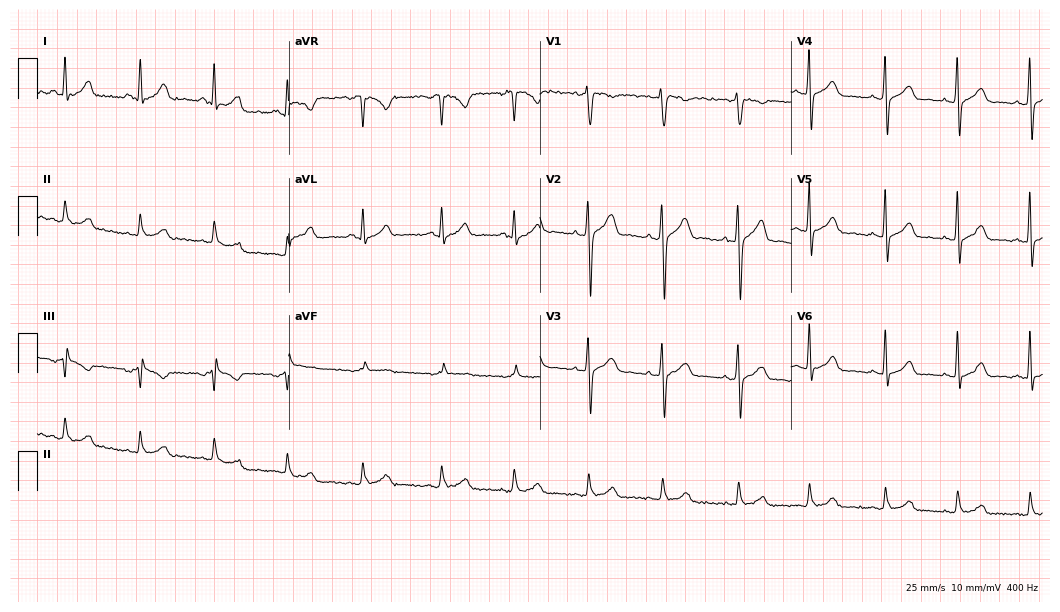
Resting 12-lead electrocardiogram. Patient: a man, 27 years old. Read as a normal ECG.